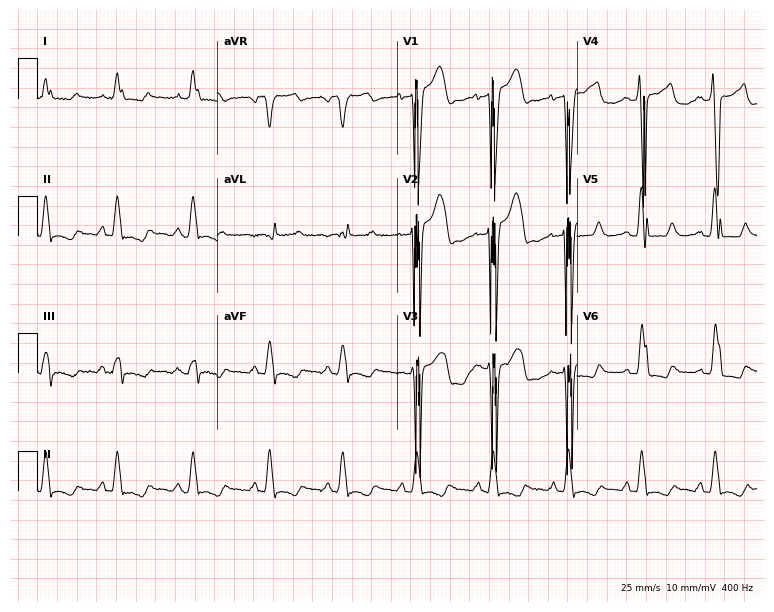
ECG (7.3-second recording at 400 Hz) — a male, 54 years old. Findings include left bundle branch block.